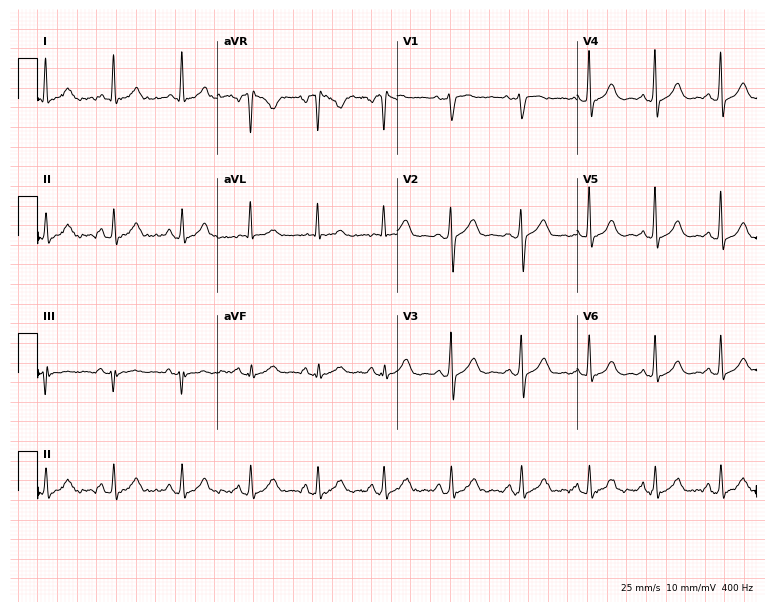
Resting 12-lead electrocardiogram. Patient: a 51-year-old woman. None of these six findings is recorded: first-degree AV block, right bundle branch block, left bundle branch block, sinus bradycardia, atrial fibrillation, sinus tachycardia. Only these six findings were labelled.